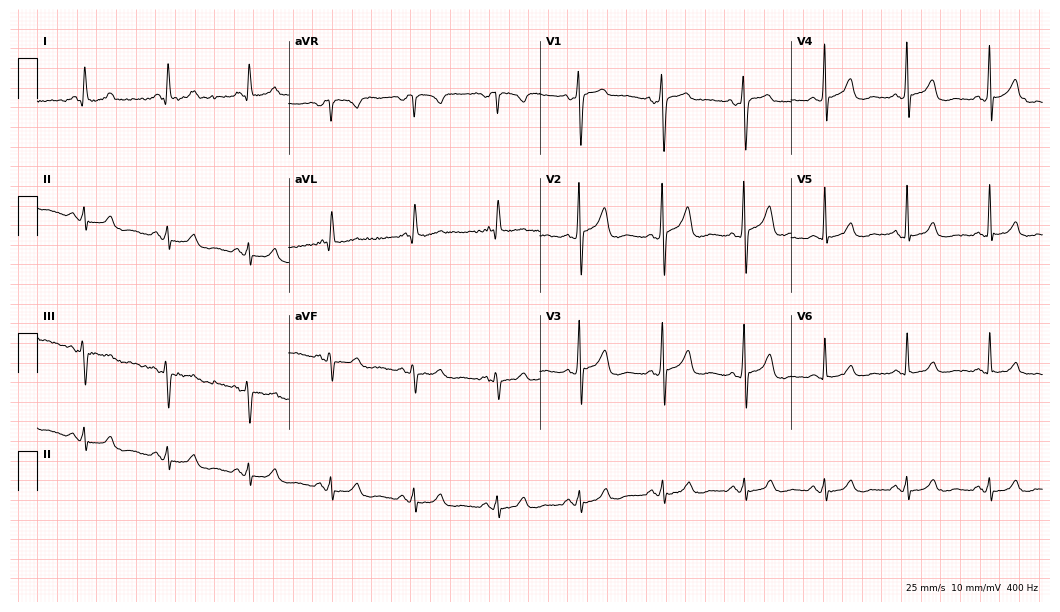
ECG (10.2-second recording at 400 Hz) — a 55-year-old male patient. Labelled as a normal ECG.